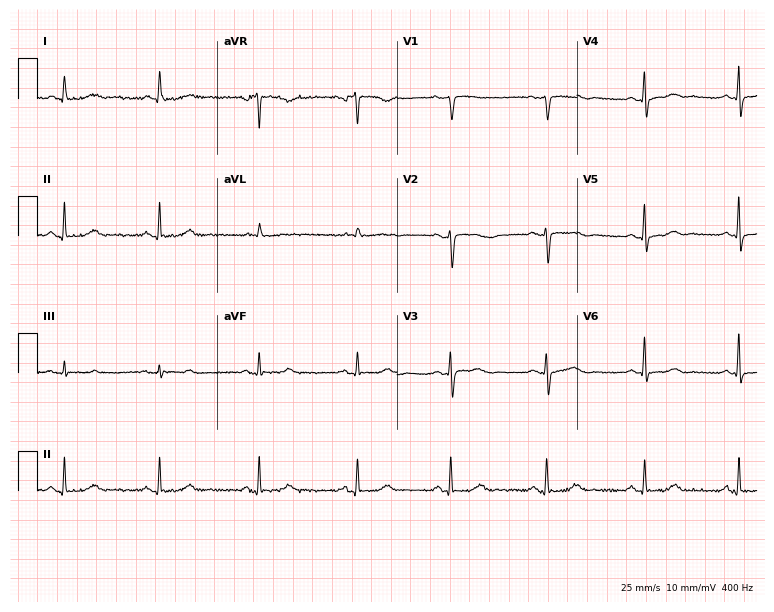
12-lead ECG (7.3-second recording at 400 Hz) from a woman, 63 years old. Labelled as a normal ECG.